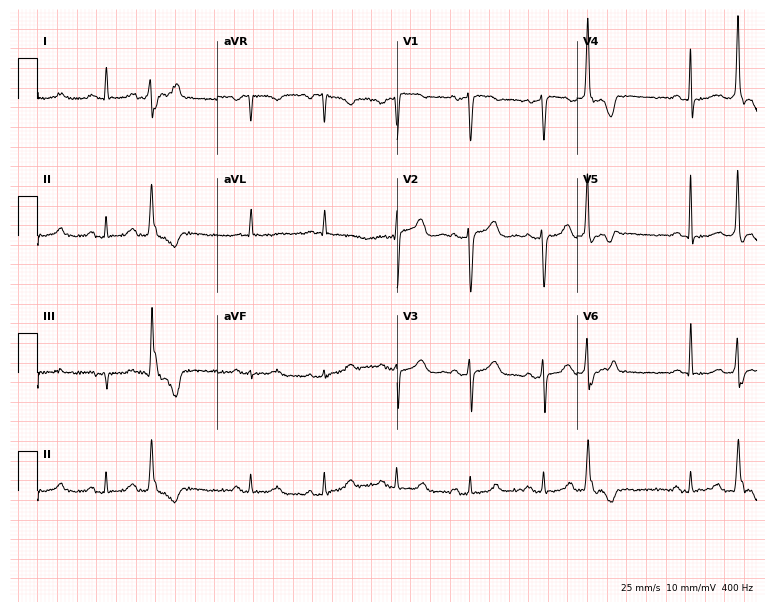
ECG (7.3-second recording at 400 Hz) — a female, 79 years old. Screened for six findings — first-degree AV block, right bundle branch block (RBBB), left bundle branch block (LBBB), sinus bradycardia, atrial fibrillation (AF), sinus tachycardia — none is recorded. Findings outside these six are not listed.